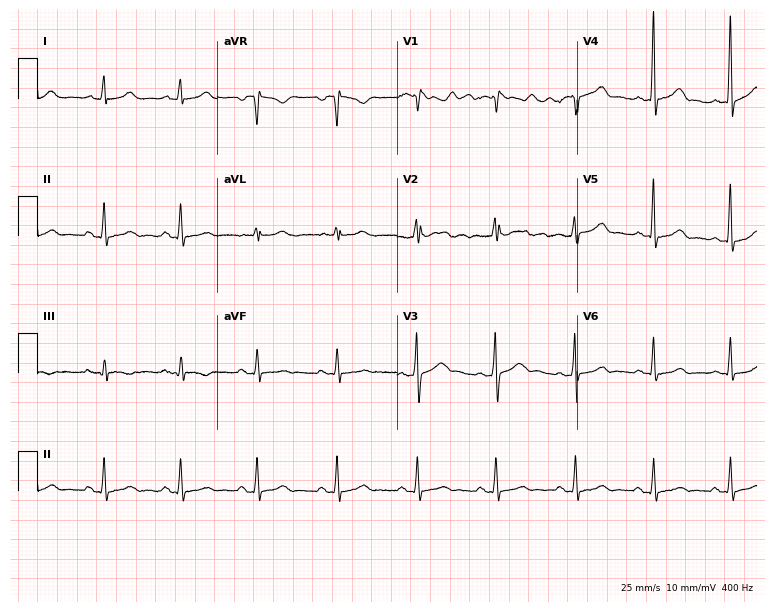
Resting 12-lead electrocardiogram. Patient: a female, 29 years old. None of these six findings is recorded: first-degree AV block, right bundle branch block, left bundle branch block, sinus bradycardia, atrial fibrillation, sinus tachycardia.